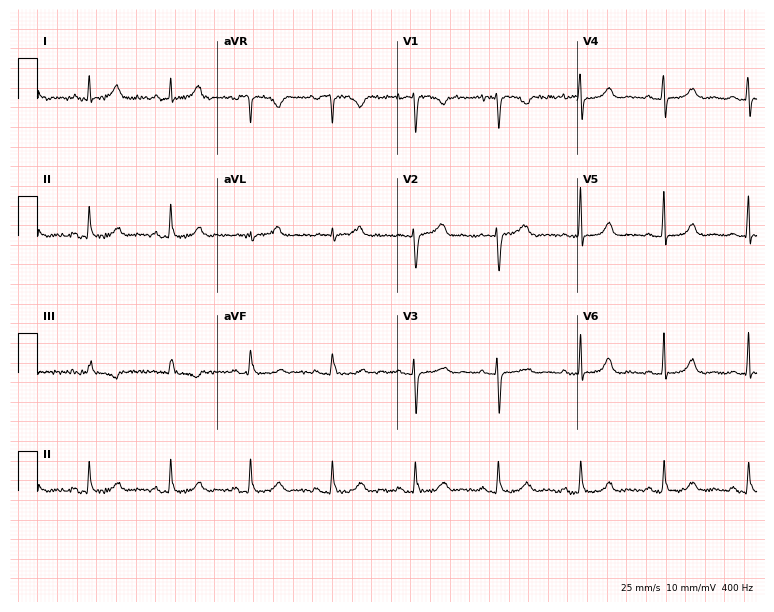
Standard 12-lead ECG recorded from a female, 51 years old. Read as a normal ECG.